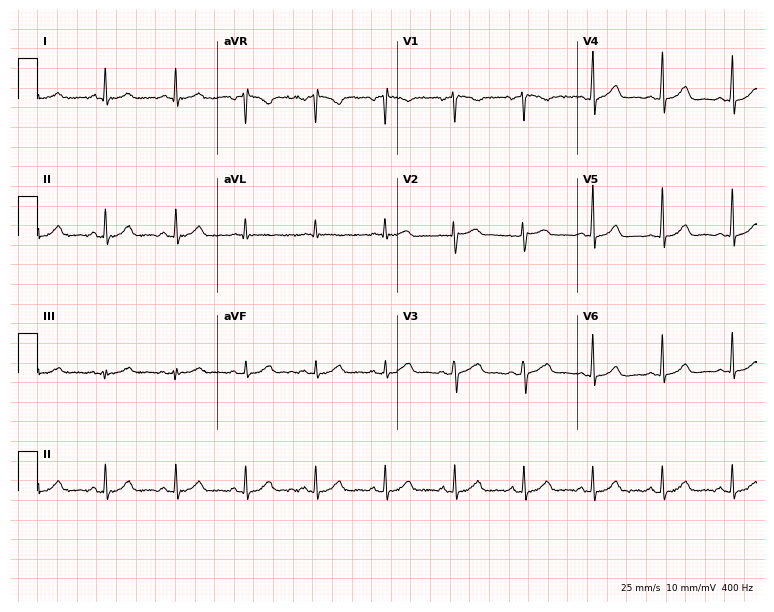
12-lead ECG (7.3-second recording at 400 Hz) from a 41-year-old female. Labelled as a normal ECG.